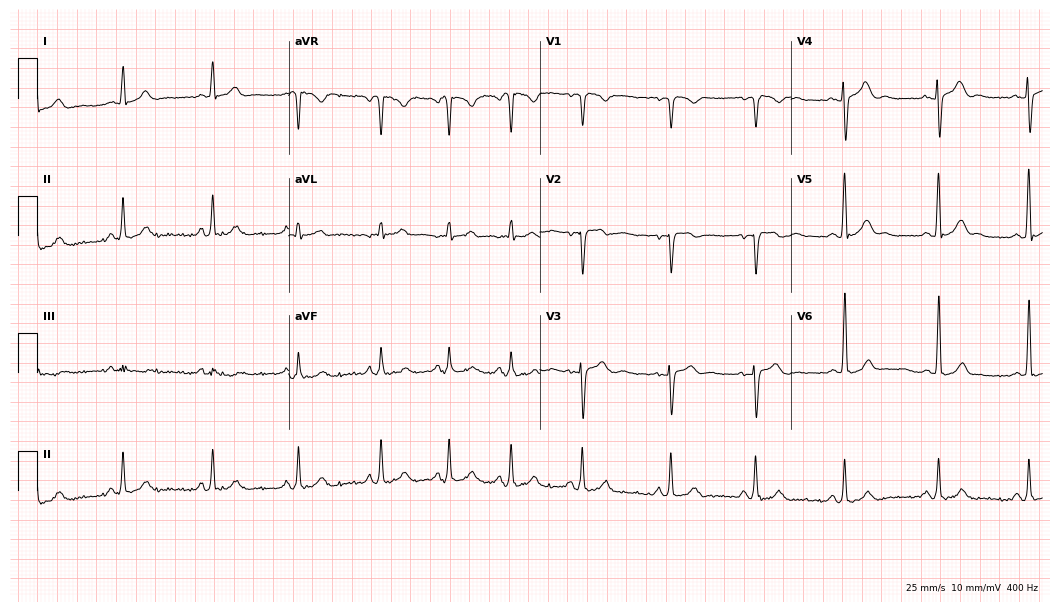
ECG — a male, 21 years old. Labelled as a normal ECG.